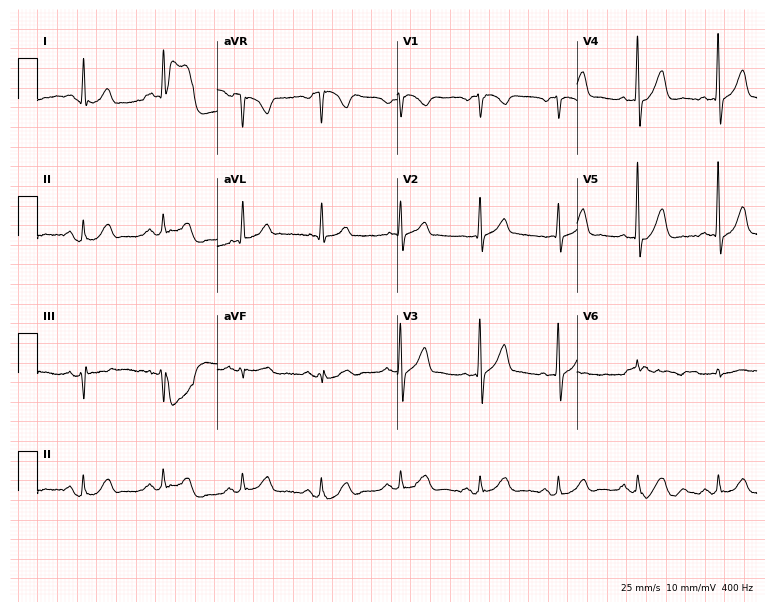
Standard 12-lead ECG recorded from a 78-year-old man (7.3-second recording at 400 Hz). Read as a normal ECG.